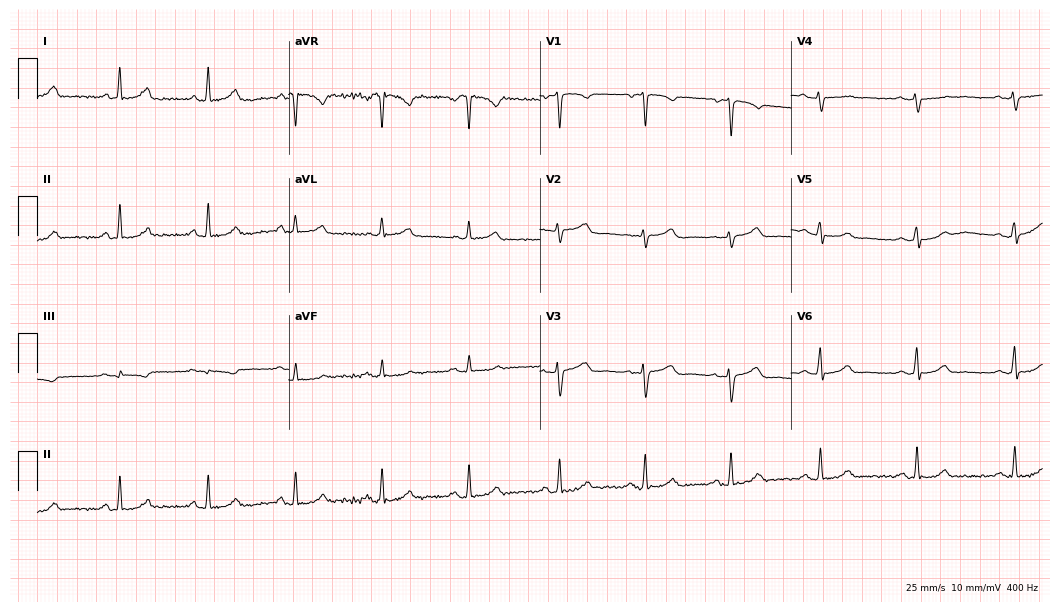
ECG (10.2-second recording at 400 Hz) — a female, 37 years old. Labelled as a normal ECG.